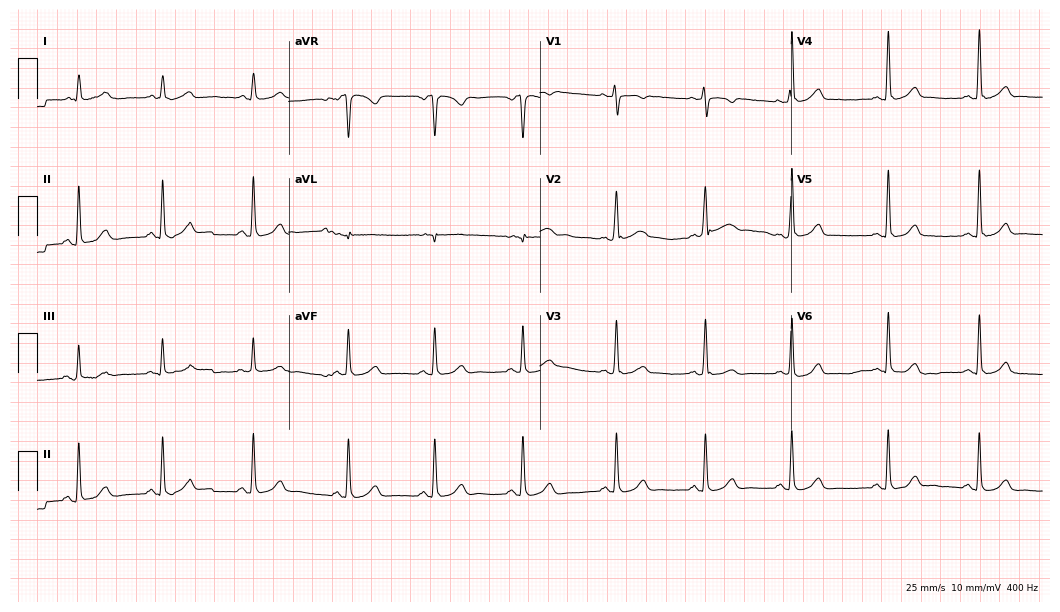
Resting 12-lead electrocardiogram. Patient: a female, 23 years old. None of these six findings is recorded: first-degree AV block, right bundle branch block (RBBB), left bundle branch block (LBBB), sinus bradycardia, atrial fibrillation (AF), sinus tachycardia. Findings outside these six are not listed.